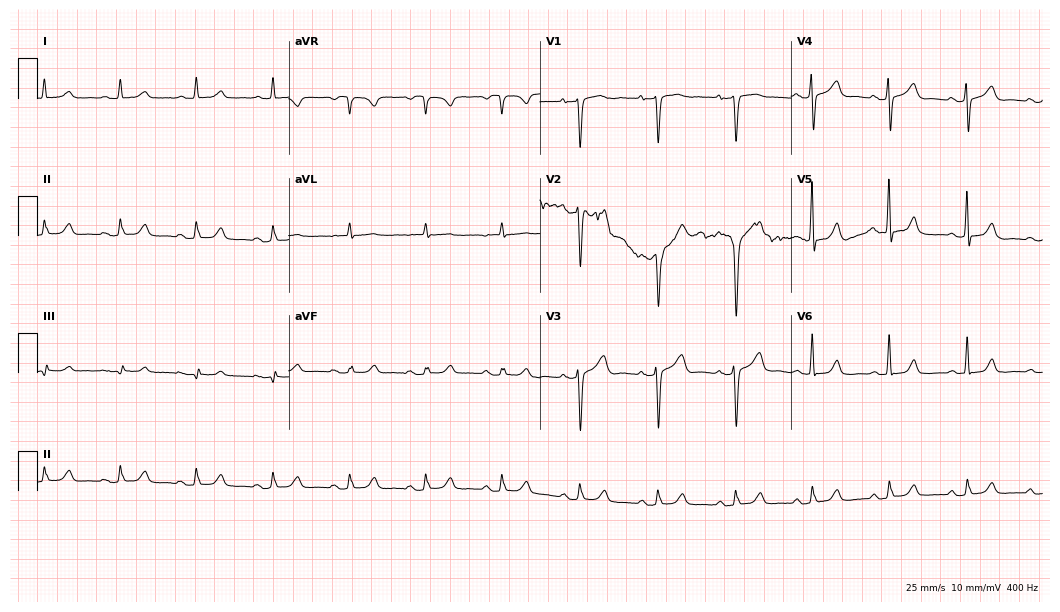
12-lead ECG (10.2-second recording at 400 Hz) from a 72-year-old female patient. Labelled as a normal ECG.